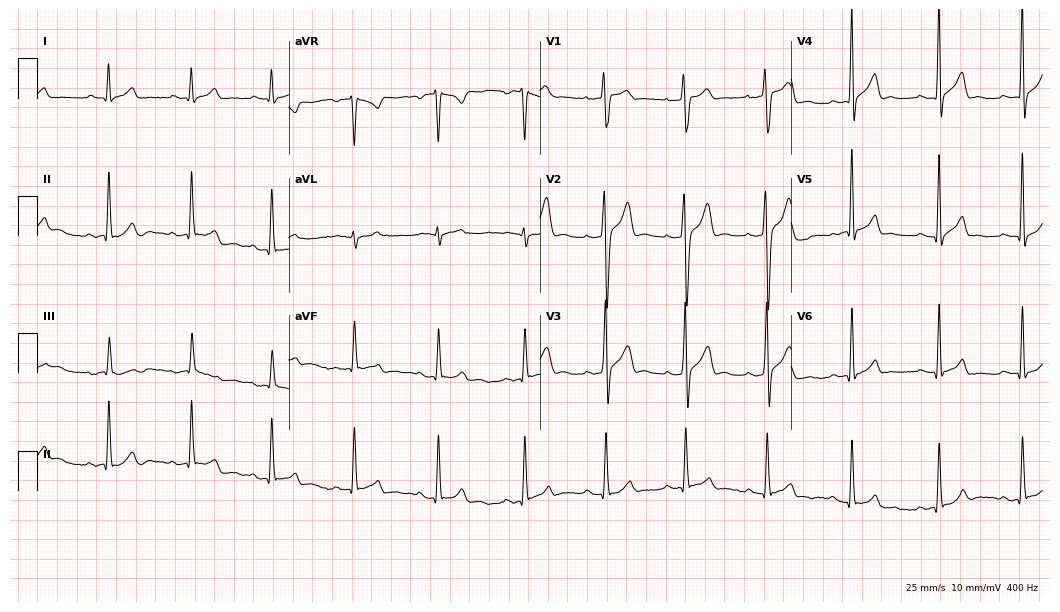
Electrocardiogram, a 19-year-old male patient. Of the six screened findings (first-degree AV block, right bundle branch block, left bundle branch block, sinus bradycardia, atrial fibrillation, sinus tachycardia), none is recorded. Findings outside these six are not listed.